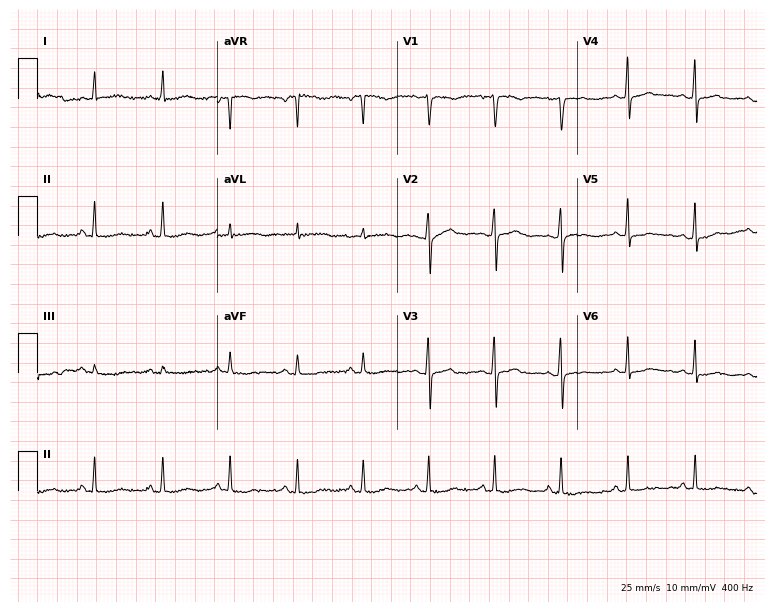
Resting 12-lead electrocardiogram. Patient: a woman, 50 years old. None of these six findings is recorded: first-degree AV block, right bundle branch block (RBBB), left bundle branch block (LBBB), sinus bradycardia, atrial fibrillation (AF), sinus tachycardia.